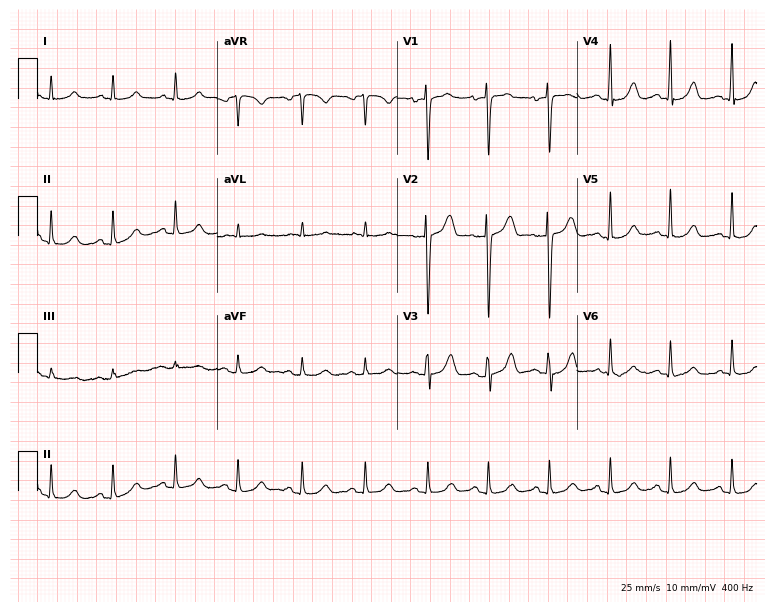
Electrocardiogram, a 30-year-old female. Overall reading on record: normal ECG.